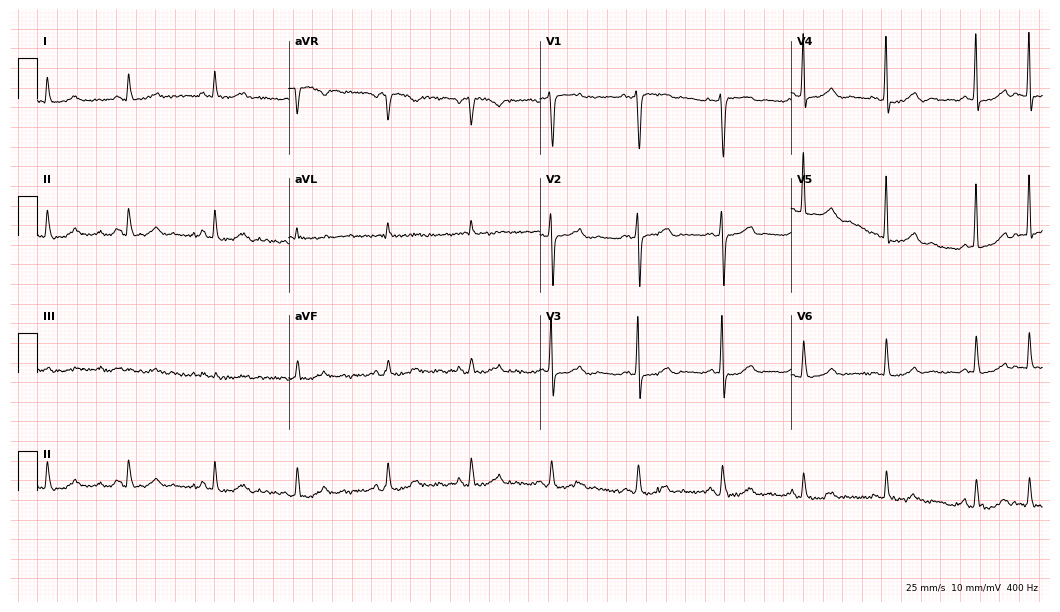
12-lead ECG from a 69-year-old man. Labelled as a normal ECG.